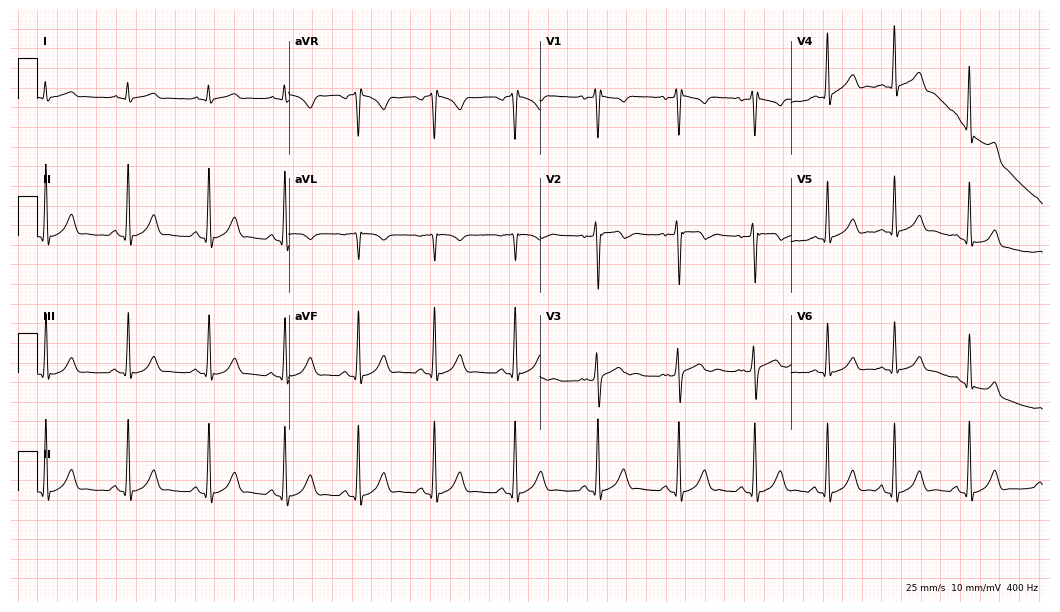
ECG — a male patient, 19 years old. Labelled as a normal ECG.